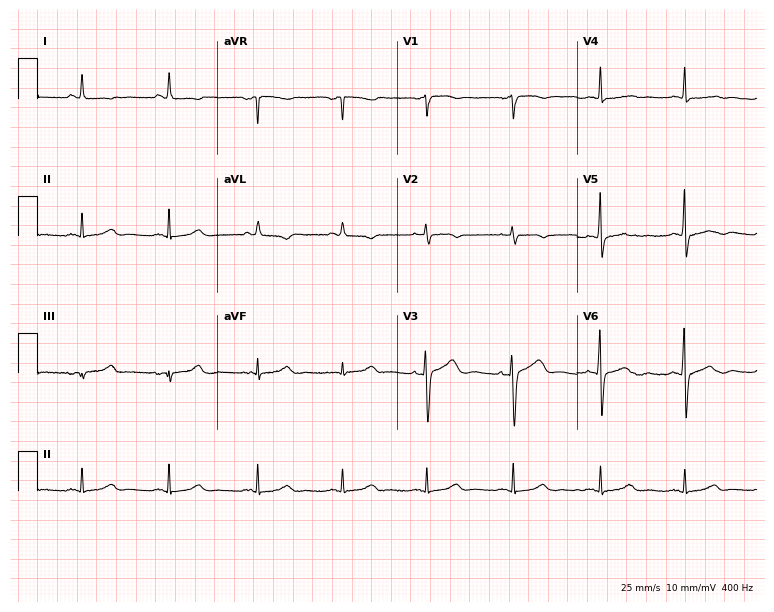
12-lead ECG from a female patient, 70 years old (7.3-second recording at 400 Hz). No first-degree AV block, right bundle branch block, left bundle branch block, sinus bradycardia, atrial fibrillation or sinus tachycardia recorded for this tracing.